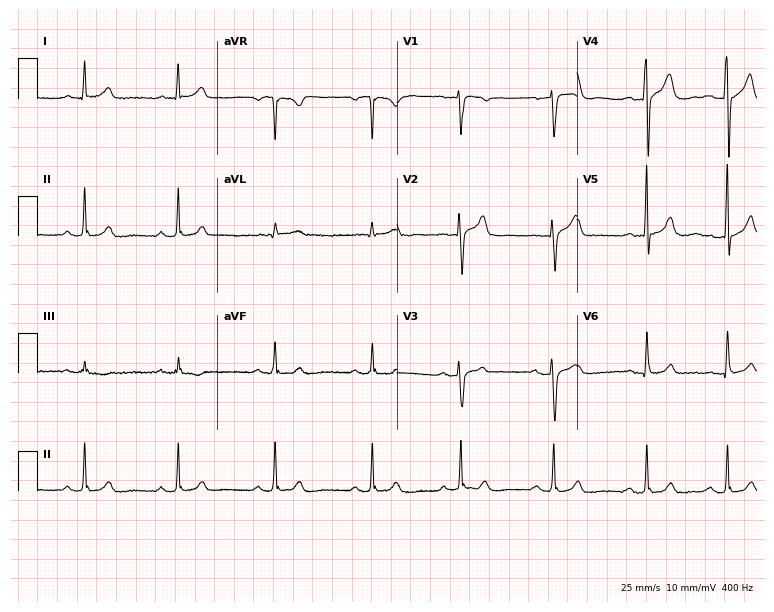
12-lead ECG (7.3-second recording at 400 Hz) from a male patient, 41 years old. Labelled as a normal ECG.